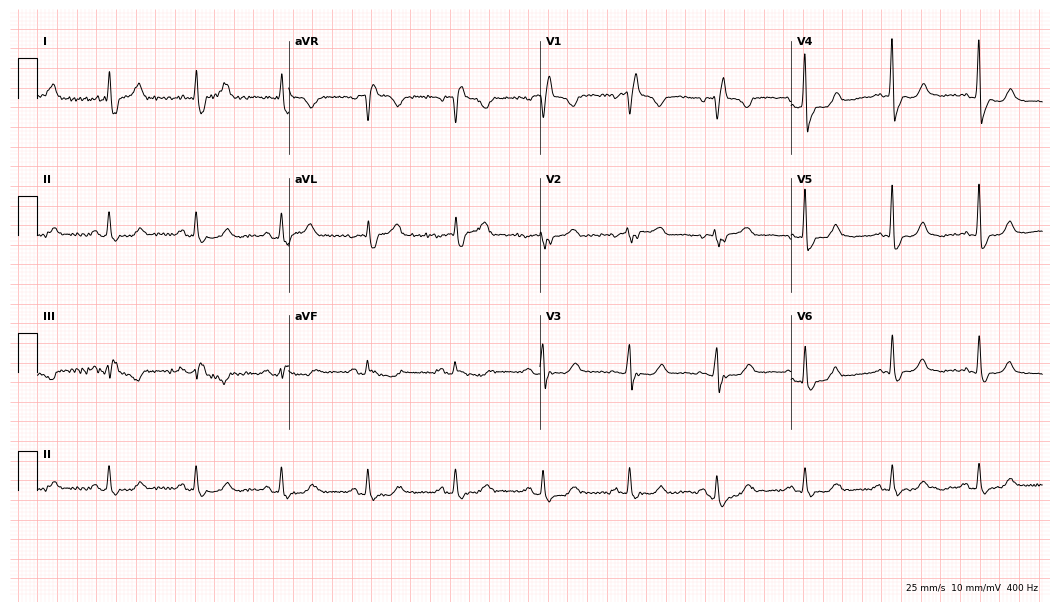
Electrocardiogram (10.2-second recording at 400 Hz), a 76-year-old woman. Interpretation includes right bundle branch block.